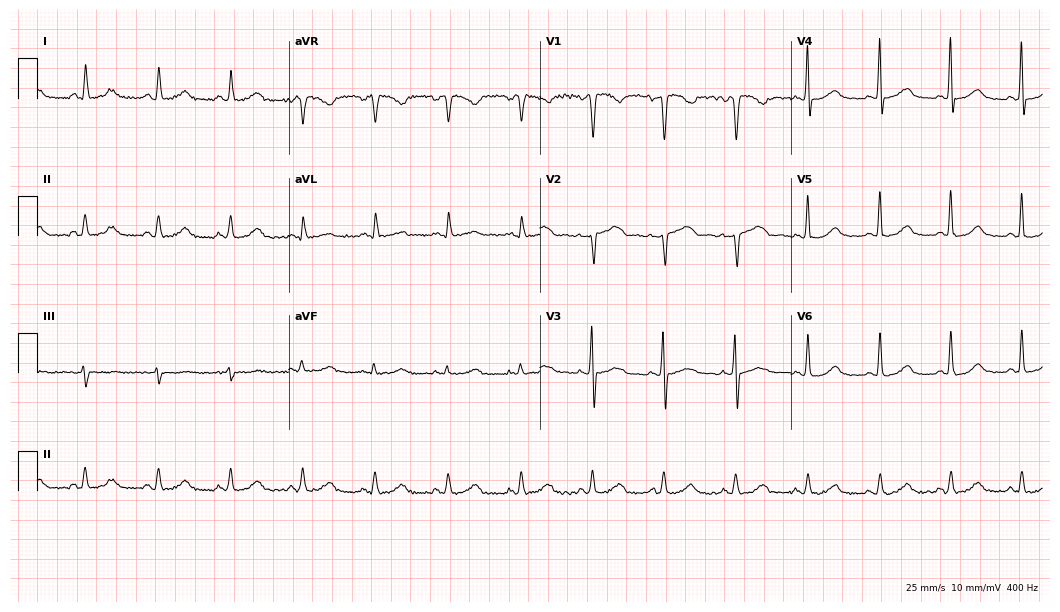
Standard 12-lead ECG recorded from a female patient, 49 years old (10.2-second recording at 400 Hz). None of these six findings is recorded: first-degree AV block, right bundle branch block (RBBB), left bundle branch block (LBBB), sinus bradycardia, atrial fibrillation (AF), sinus tachycardia.